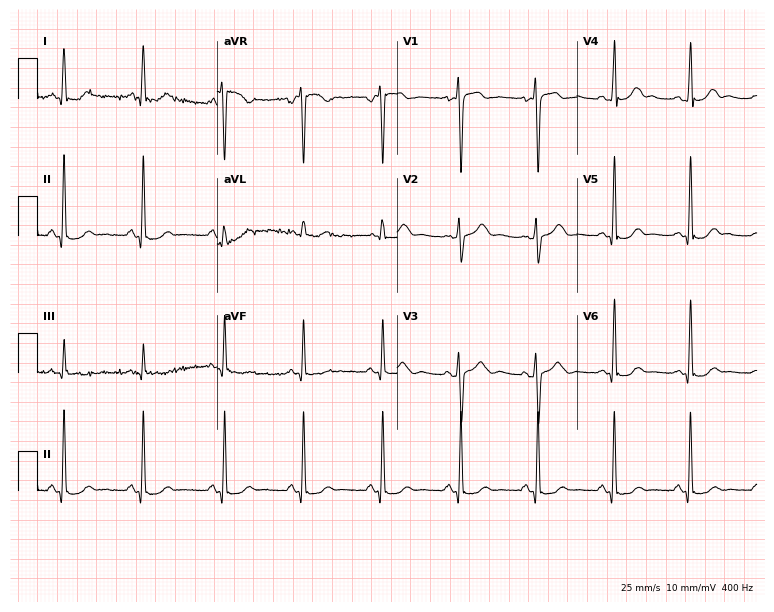
Resting 12-lead electrocardiogram (7.3-second recording at 400 Hz). Patient: a 21-year-old male. Read as a normal ECG.